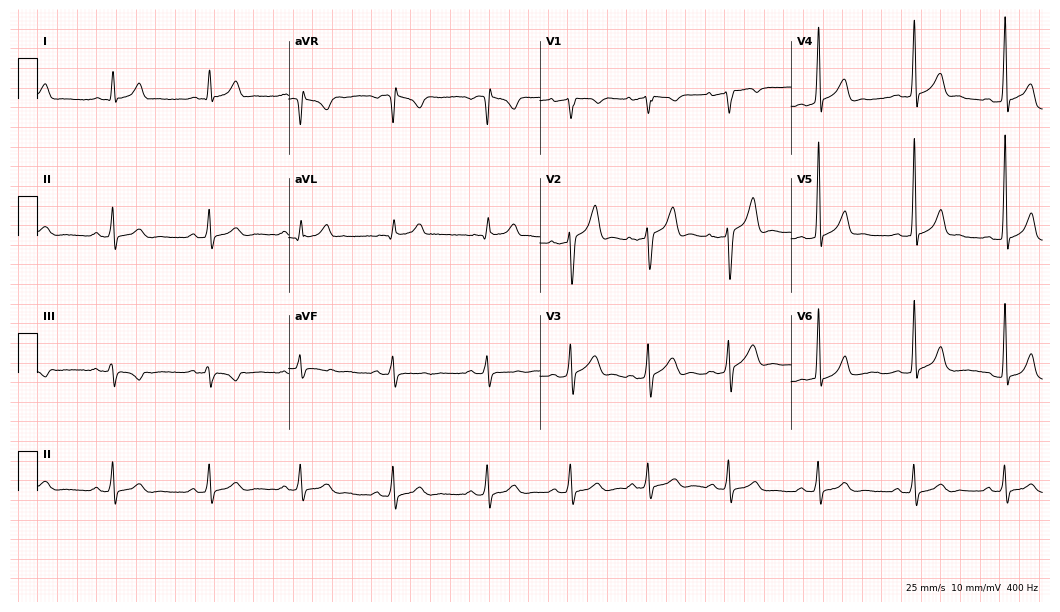
Standard 12-lead ECG recorded from a male, 38 years old (10.2-second recording at 400 Hz). Read as a normal ECG.